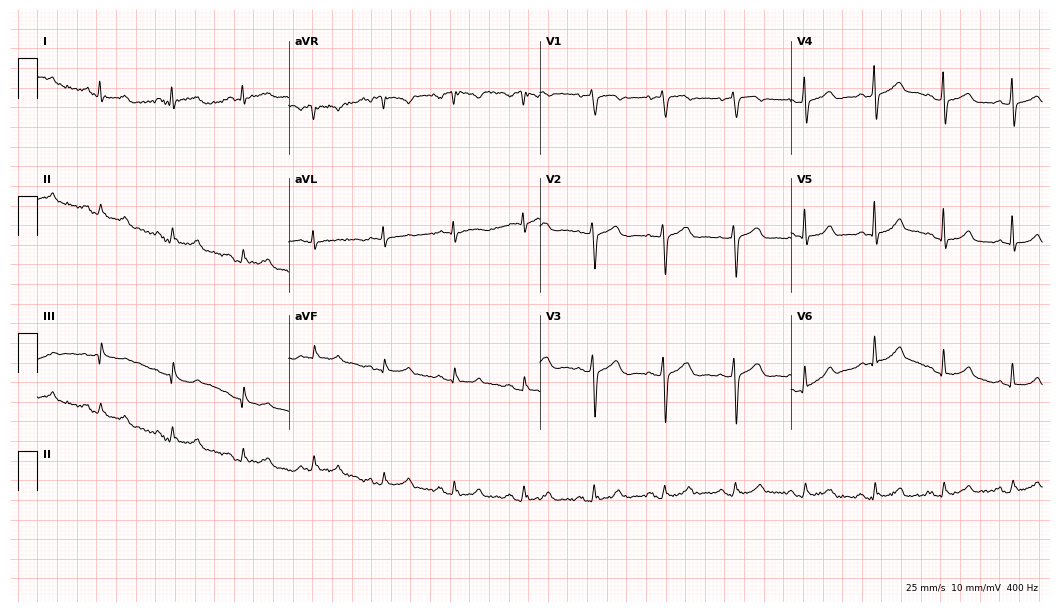
Resting 12-lead electrocardiogram (10.2-second recording at 400 Hz). Patient: a female, 60 years old. None of these six findings is recorded: first-degree AV block, right bundle branch block, left bundle branch block, sinus bradycardia, atrial fibrillation, sinus tachycardia.